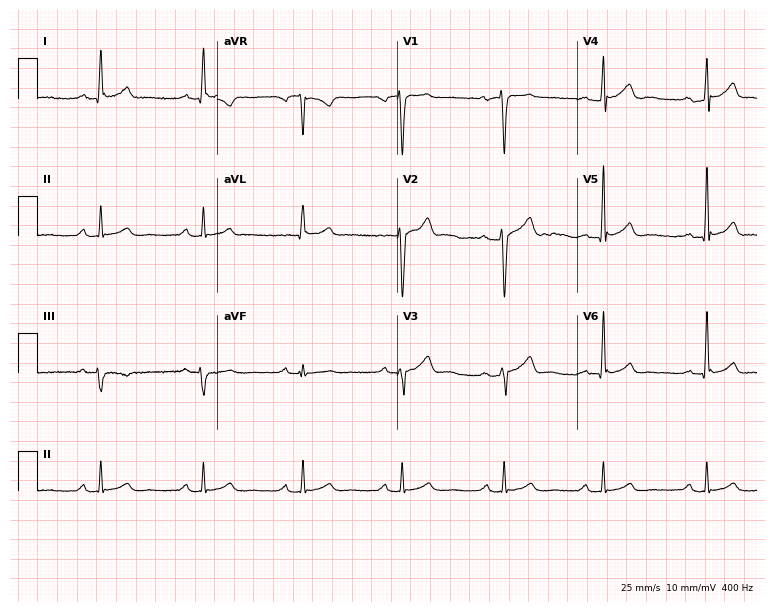
Standard 12-lead ECG recorded from a male, 32 years old. None of these six findings is recorded: first-degree AV block, right bundle branch block, left bundle branch block, sinus bradycardia, atrial fibrillation, sinus tachycardia. Other findings, if any, are not listed.